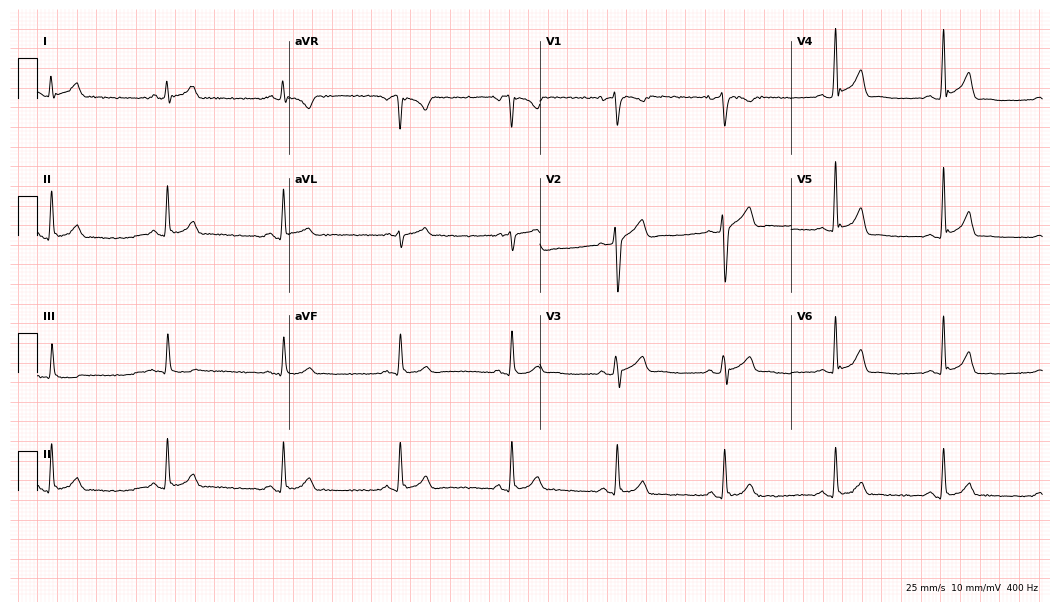
Standard 12-lead ECG recorded from a 41-year-old male. Read as a normal ECG.